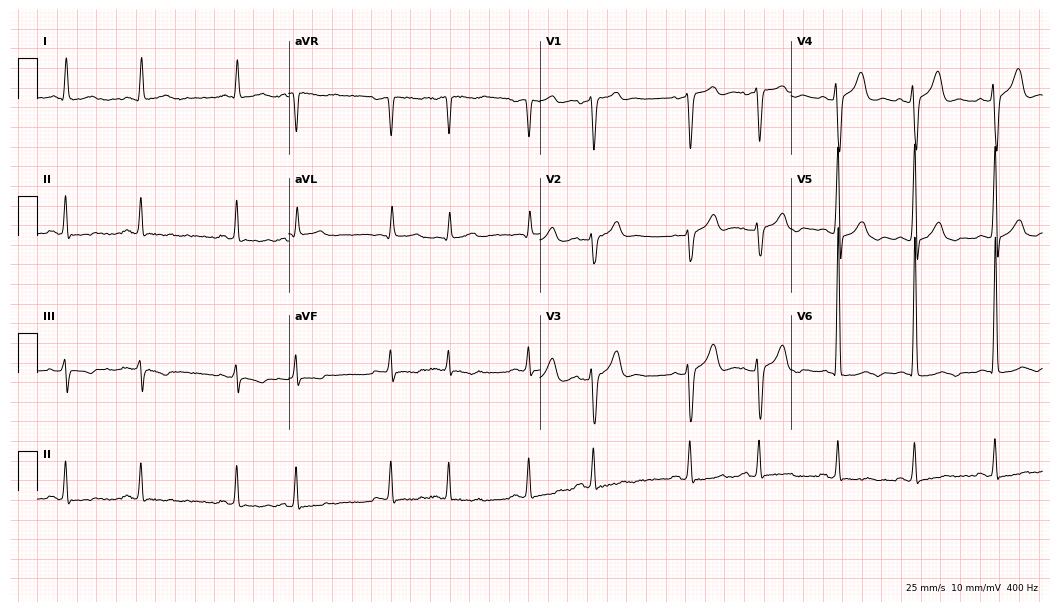
Resting 12-lead electrocardiogram. Patient: a male, 66 years old. None of these six findings is recorded: first-degree AV block, right bundle branch block (RBBB), left bundle branch block (LBBB), sinus bradycardia, atrial fibrillation (AF), sinus tachycardia. Other findings, if any, are not listed.